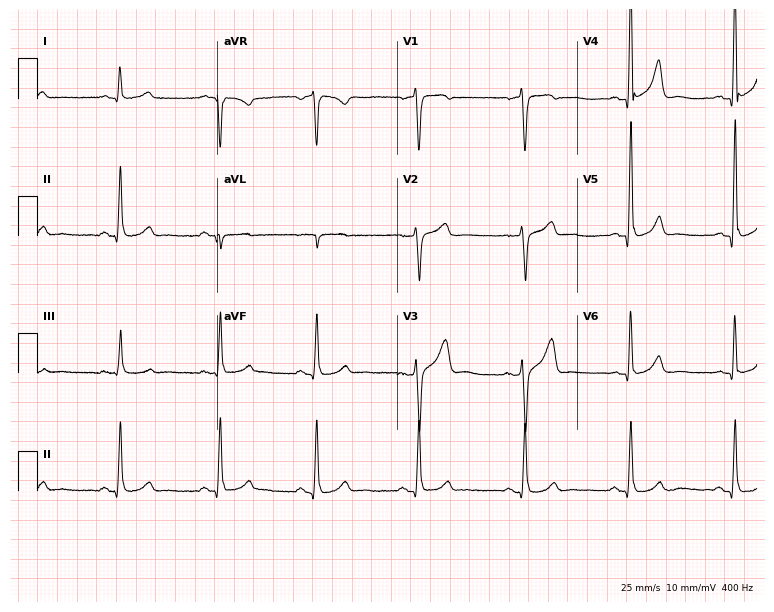
ECG (7.3-second recording at 400 Hz) — a 40-year-old man. Screened for six findings — first-degree AV block, right bundle branch block, left bundle branch block, sinus bradycardia, atrial fibrillation, sinus tachycardia — none is recorded.